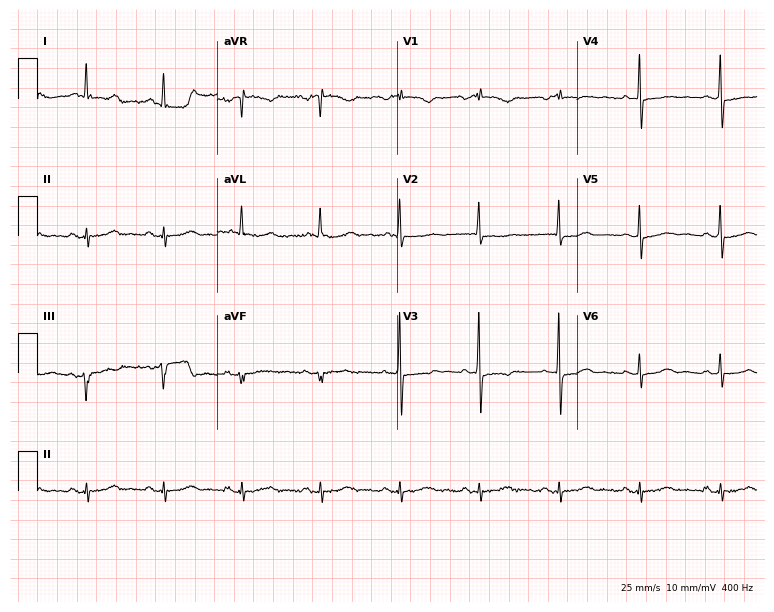
Electrocardiogram, a female patient, 87 years old. Of the six screened findings (first-degree AV block, right bundle branch block, left bundle branch block, sinus bradycardia, atrial fibrillation, sinus tachycardia), none is recorded.